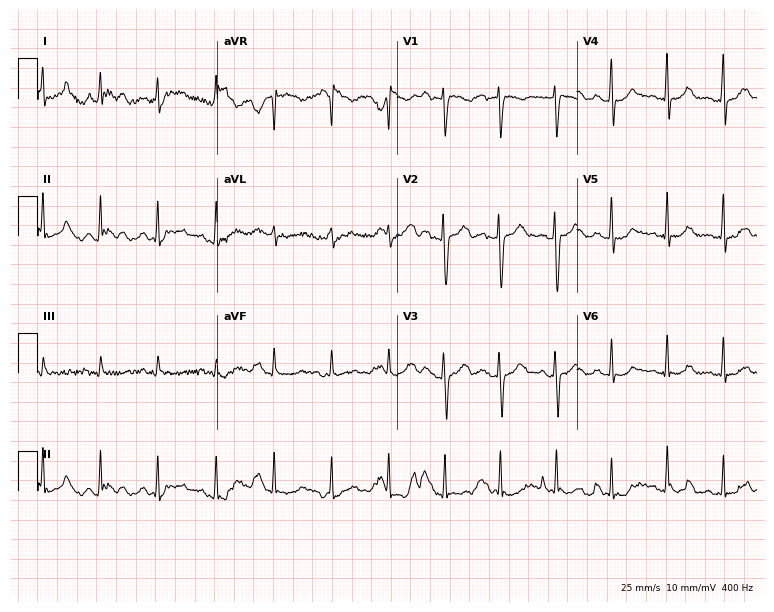
ECG (7.3-second recording at 400 Hz) — a 34-year-old woman. Findings include sinus tachycardia (a sinus rate of 100 beats per minute or more).